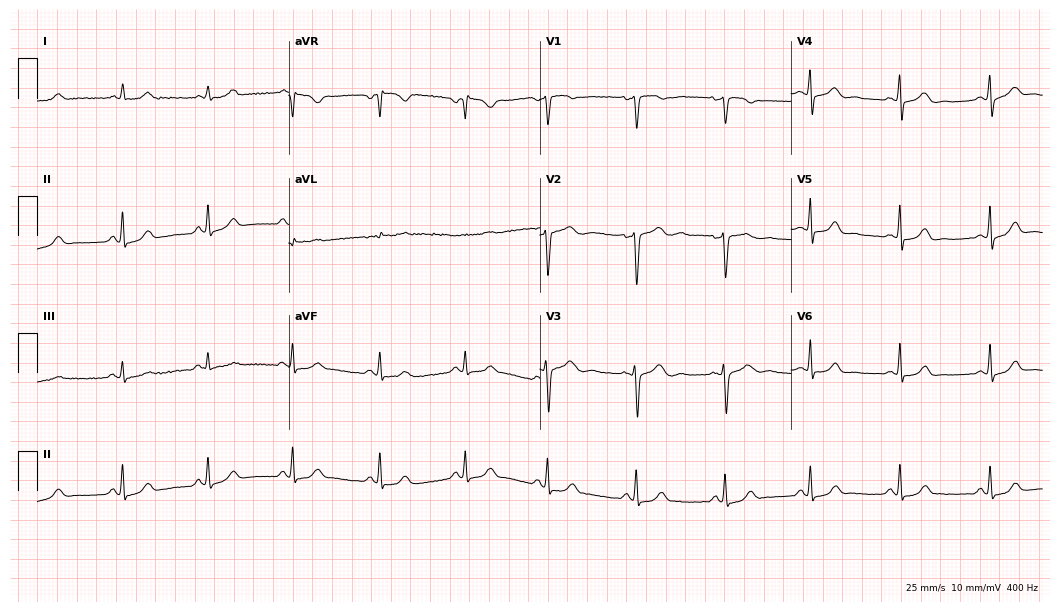
Standard 12-lead ECG recorded from a 34-year-old woman (10.2-second recording at 400 Hz). Read as a normal ECG.